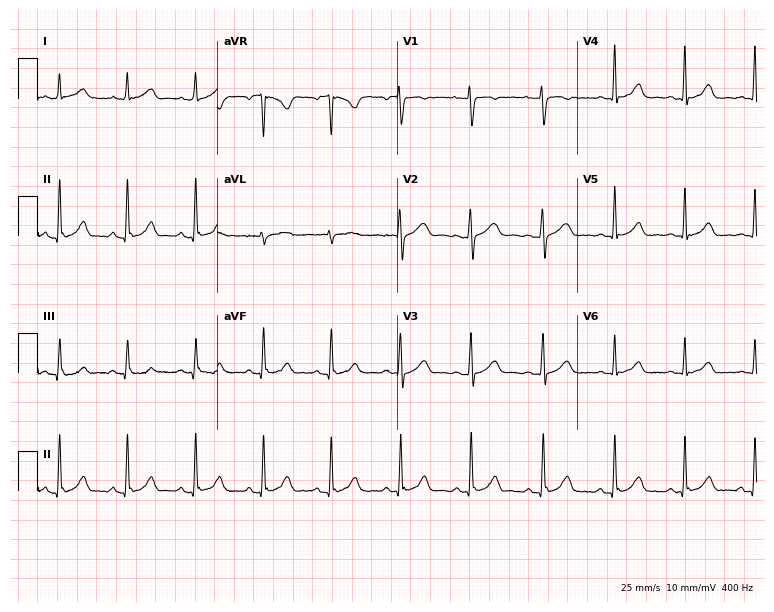
Standard 12-lead ECG recorded from a woman, 48 years old (7.3-second recording at 400 Hz). None of these six findings is recorded: first-degree AV block, right bundle branch block (RBBB), left bundle branch block (LBBB), sinus bradycardia, atrial fibrillation (AF), sinus tachycardia.